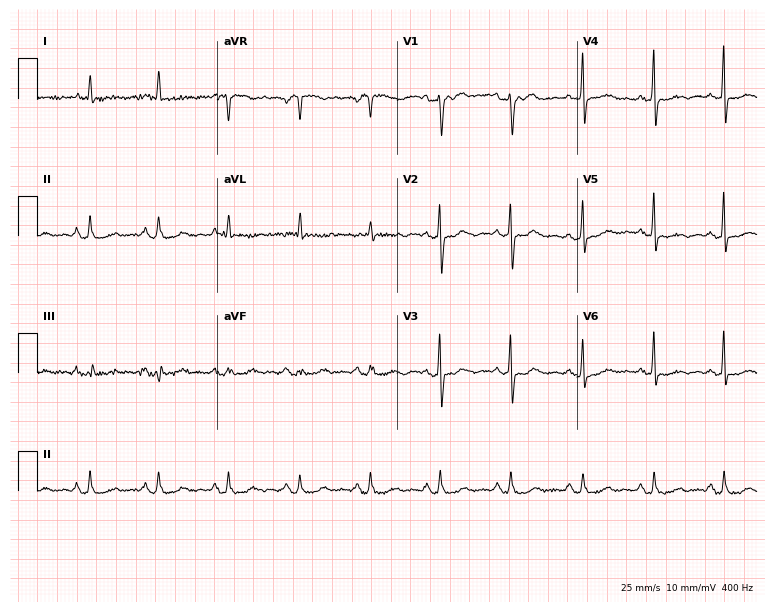
12-lead ECG (7.3-second recording at 400 Hz) from a 60-year-old female. Screened for six findings — first-degree AV block, right bundle branch block, left bundle branch block, sinus bradycardia, atrial fibrillation, sinus tachycardia — none is recorded.